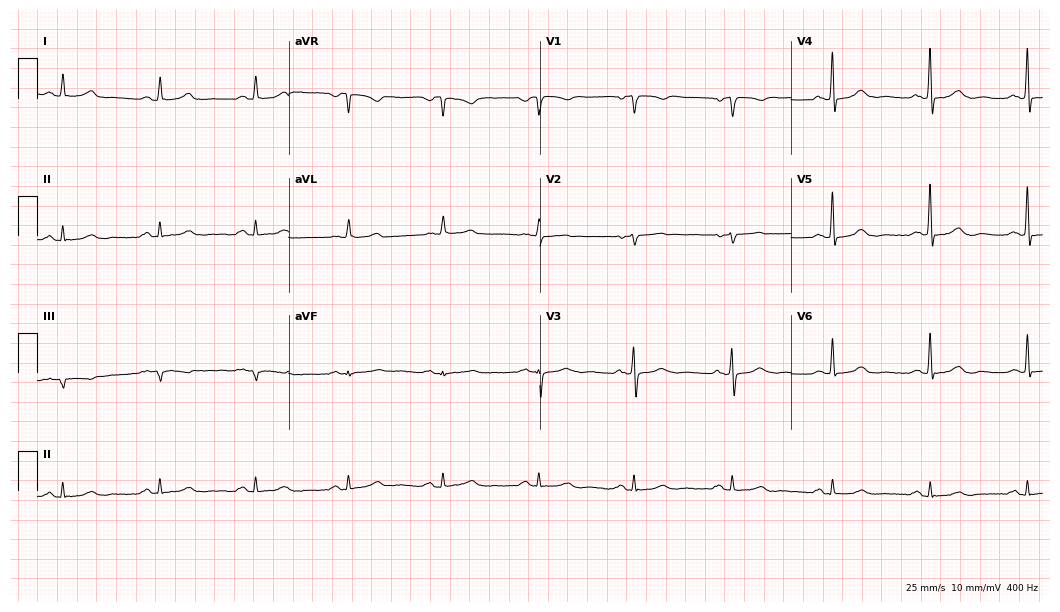
Standard 12-lead ECG recorded from a 75-year-old woman. Read as a normal ECG.